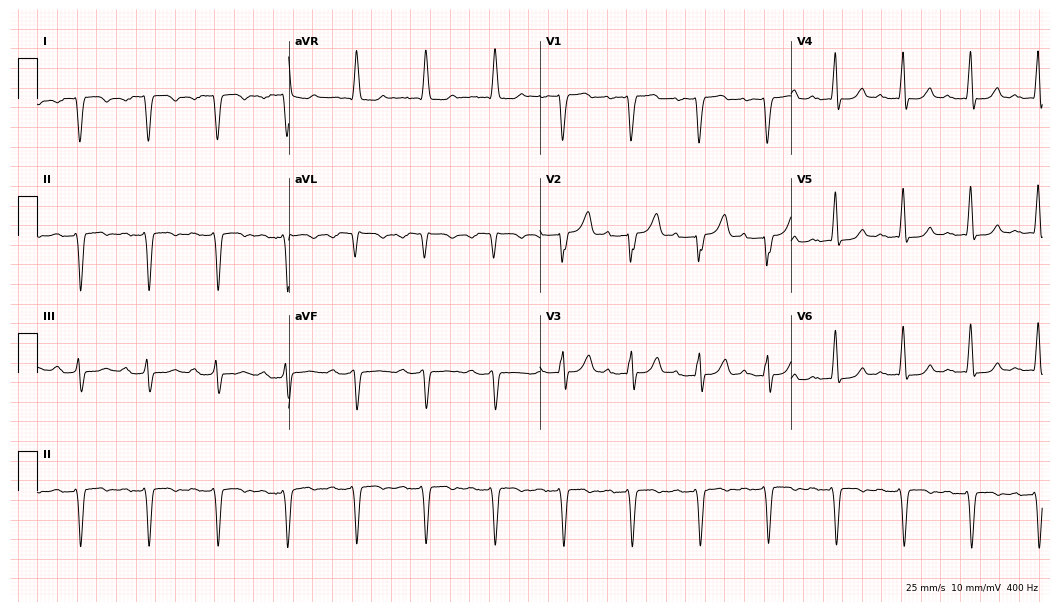
Resting 12-lead electrocardiogram. Patient: a 79-year-old female. None of these six findings is recorded: first-degree AV block, right bundle branch block, left bundle branch block, sinus bradycardia, atrial fibrillation, sinus tachycardia. Only these six findings were labelled.